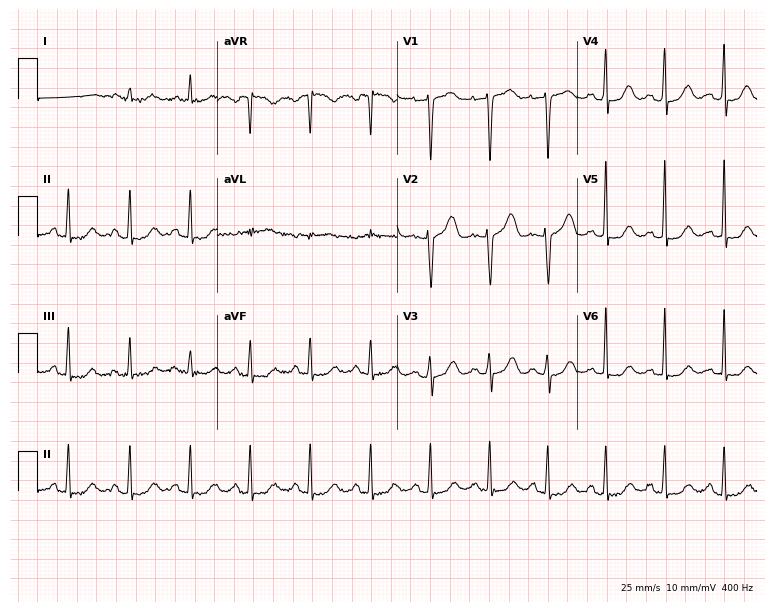
Electrocardiogram, a female patient, 66 years old. Of the six screened findings (first-degree AV block, right bundle branch block, left bundle branch block, sinus bradycardia, atrial fibrillation, sinus tachycardia), none is recorded. Findings outside these six are not listed.